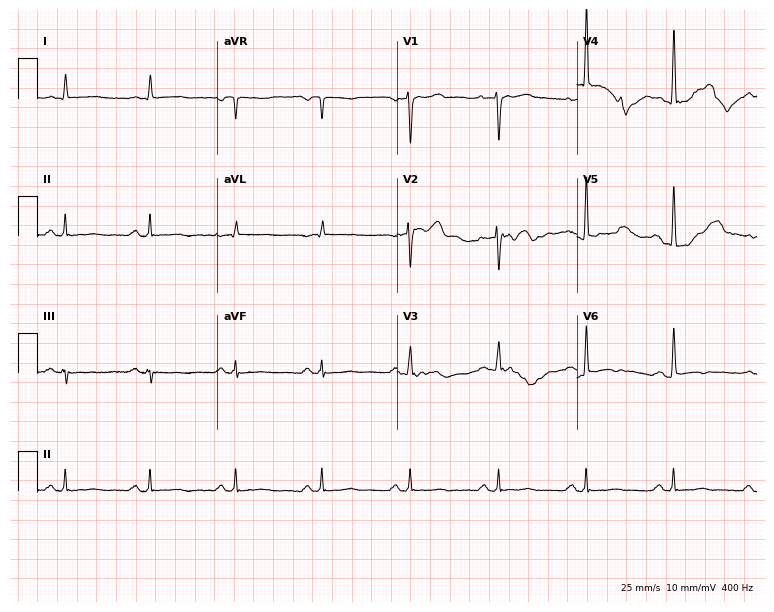
12-lead ECG (7.3-second recording at 400 Hz) from a 57-year-old man. Screened for six findings — first-degree AV block, right bundle branch block, left bundle branch block, sinus bradycardia, atrial fibrillation, sinus tachycardia — none is recorded.